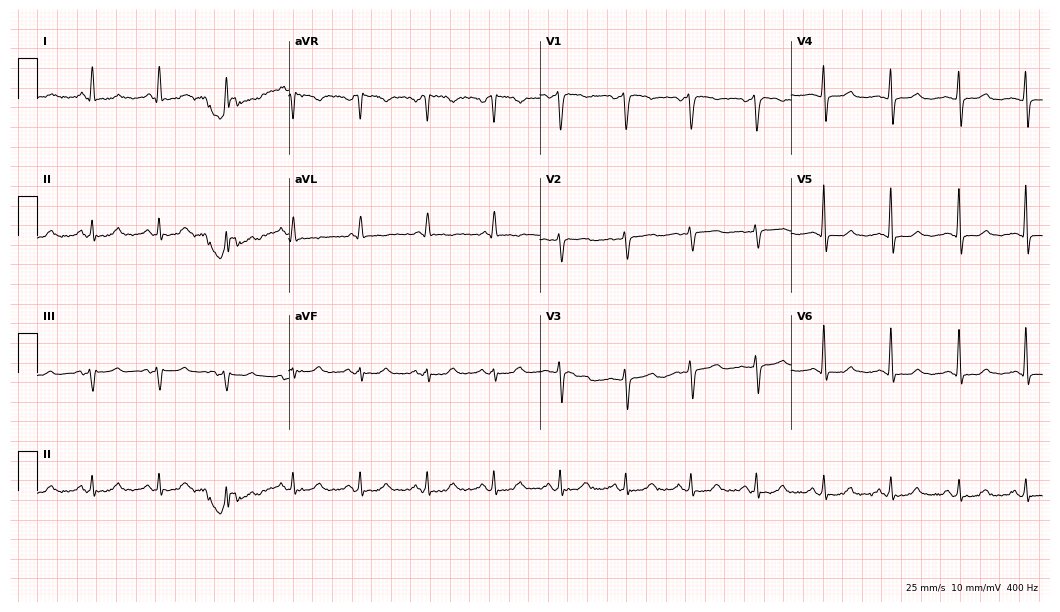
Standard 12-lead ECG recorded from a female patient, 47 years old. None of these six findings is recorded: first-degree AV block, right bundle branch block (RBBB), left bundle branch block (LBBB), sinus bradycardia, atrial fibrillation (AF), sinus tachycardia. Other findings, if any, are not listed.